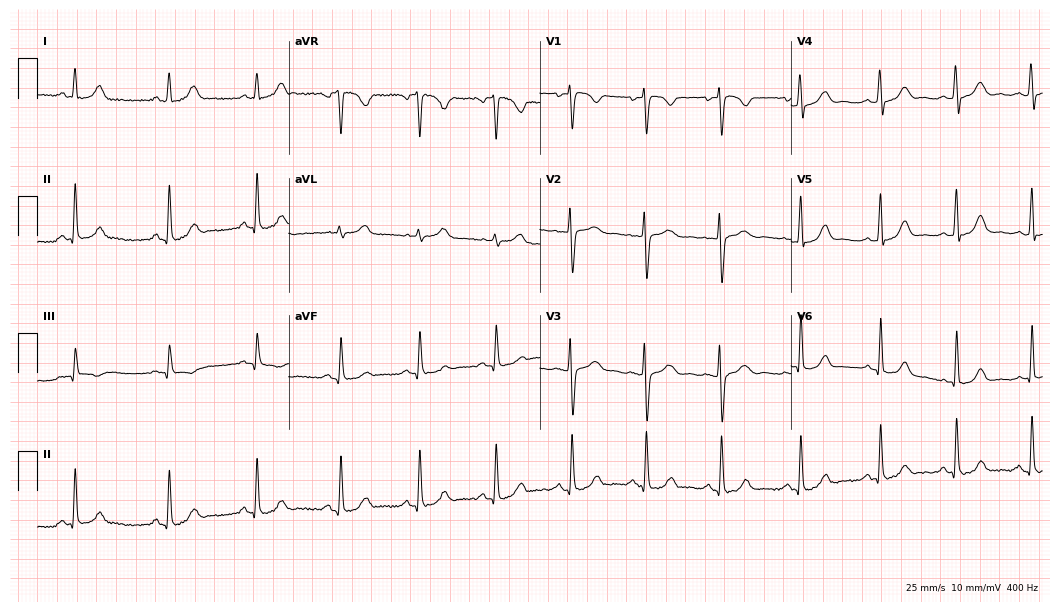
Electrocardiogram (10.2-second recording at 400 Hz), a 26-year-old female patient. Overall reading on record: normal ECG.